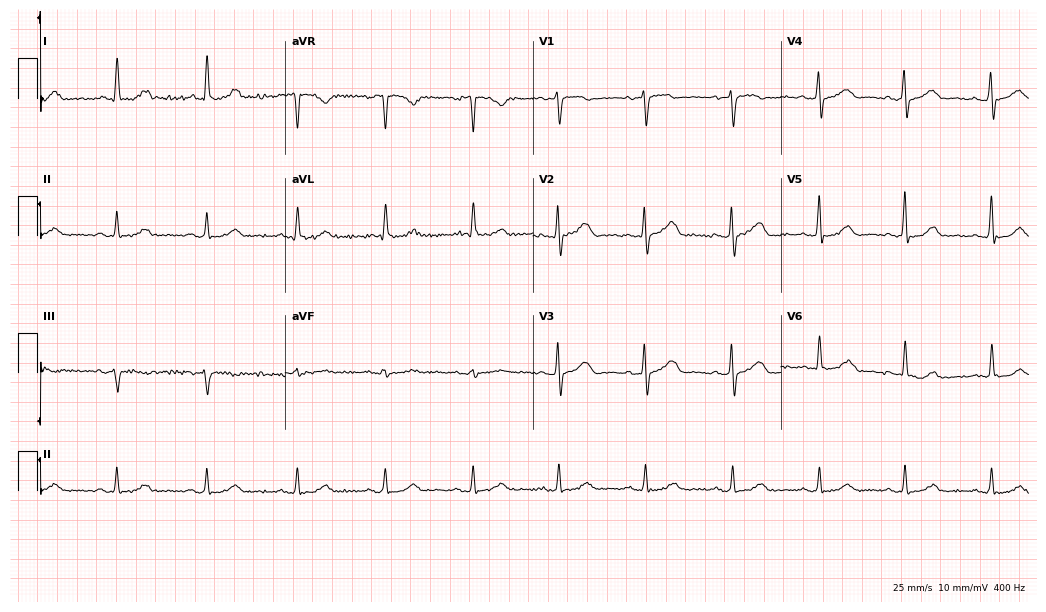
12-lead ECG (10.1-second recording at 400 Hz) from a female, 53 years old. Labelled as a normal ECG.